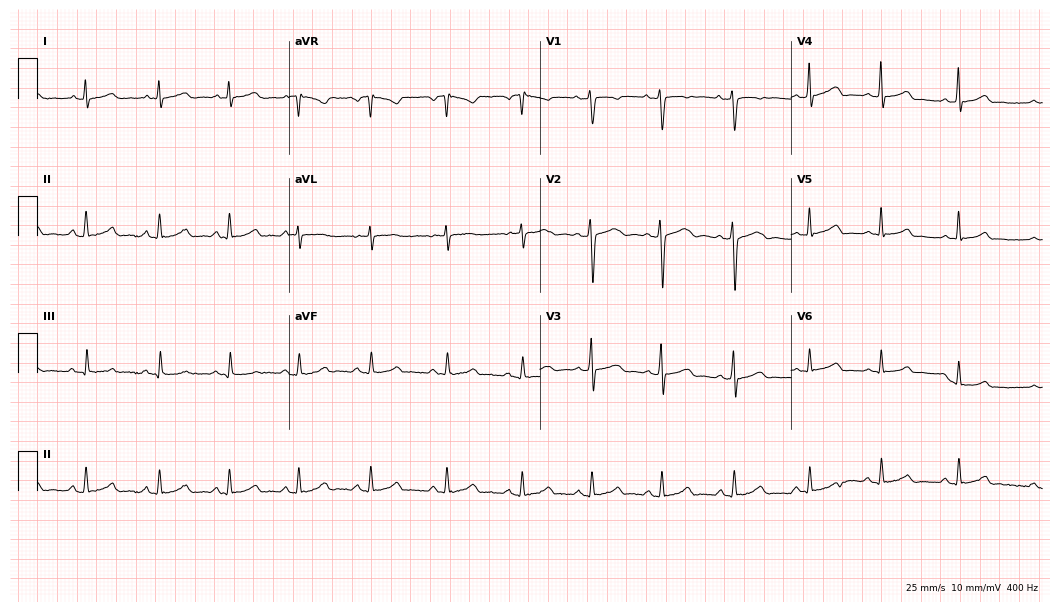
Standard 12-lead ECG recorded from a 24-year-old female patient (10.2-second recording at 400 Hz). Read as a normal ECG.